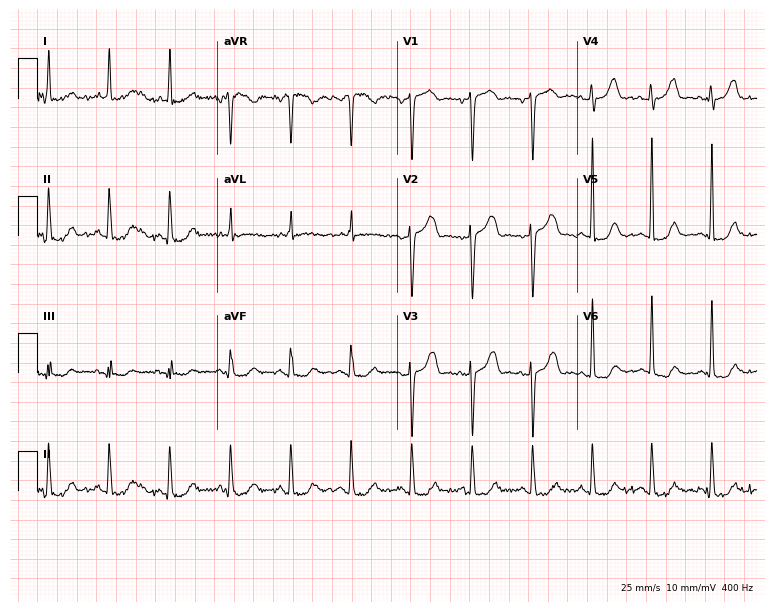
Electrocardiogram (7.3-second recording at 400 Hz), a female, 79 years old. Overall reading on record: normal ECG.